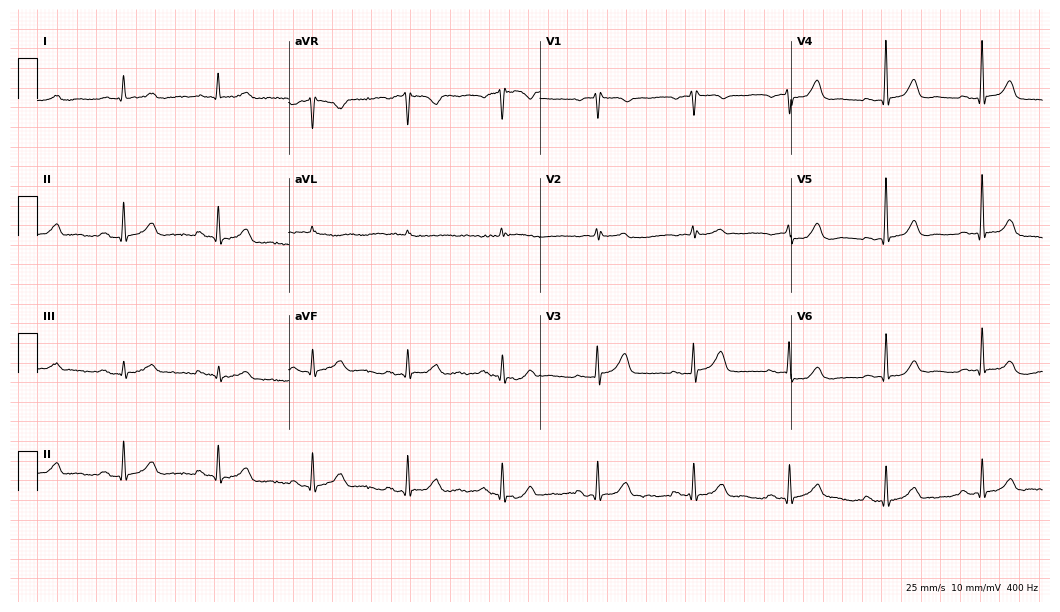
12-lead ECG from an 82-year-old man. No first-degree AV block, right bundle branch block (RBBB), left bundle branch block (LBBB), sinus bradycardia, atrial fibrillation (AF) or sinus tachycardia recorded for this tracing.